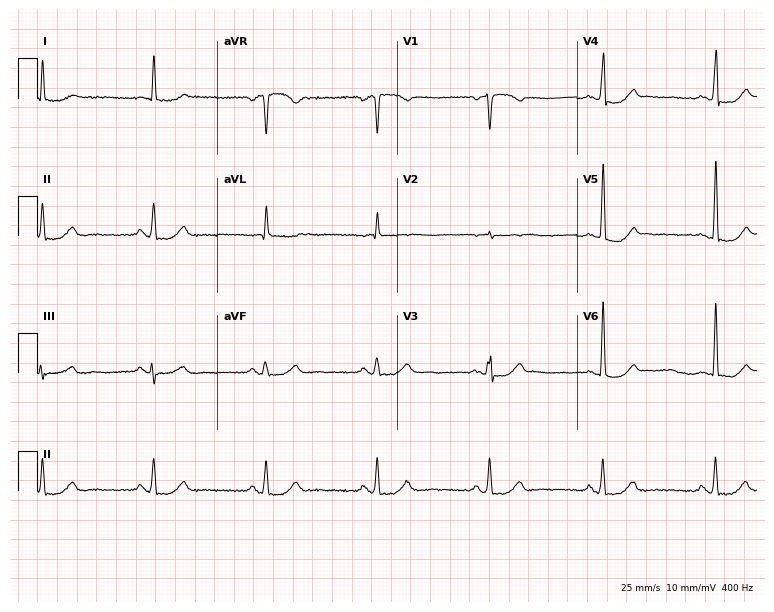
12-lead ECG from a 72-year-old male patient. Recorded interpretation: within normal limits.